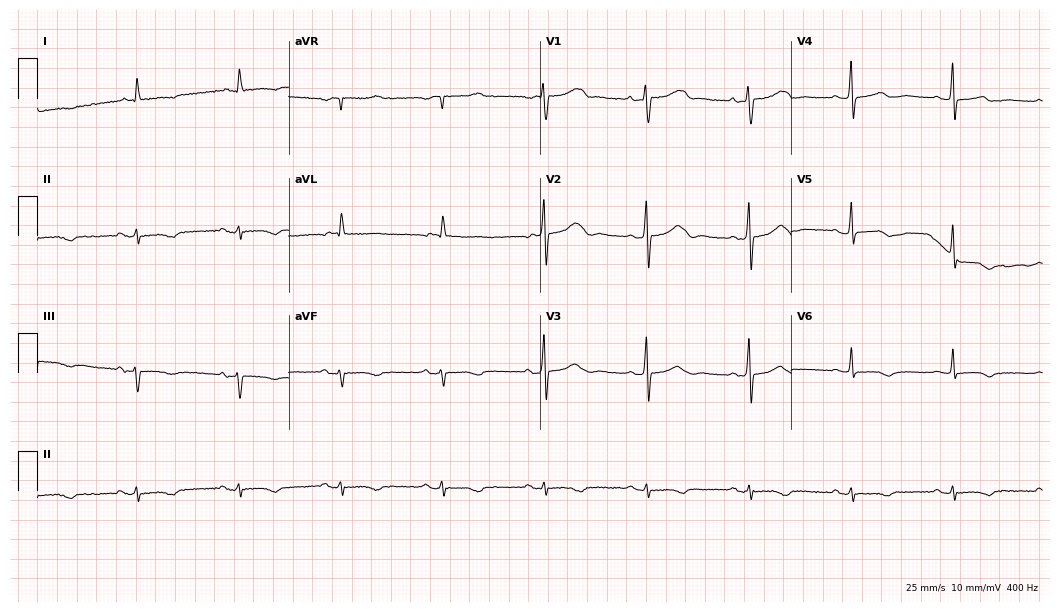
12-lead ECG from a 57-year-old female patient. No first-degree AV block, right bundle branch block (RBBB), left bundle branch block (LBBB), sinus bradycardia, atrial fibrillation (AF) or sinus tachycardia recorded for this tracing. Other findings, if any, are not listed.